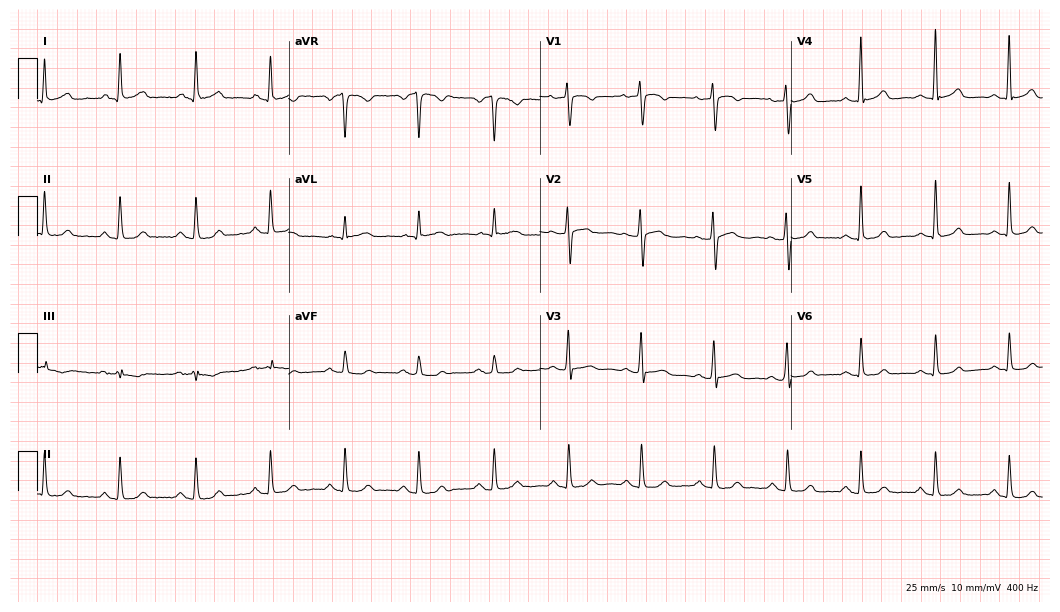
Standard 12-lead ECG recorded from a 67-year-old female patient. Read as a normal ECG.